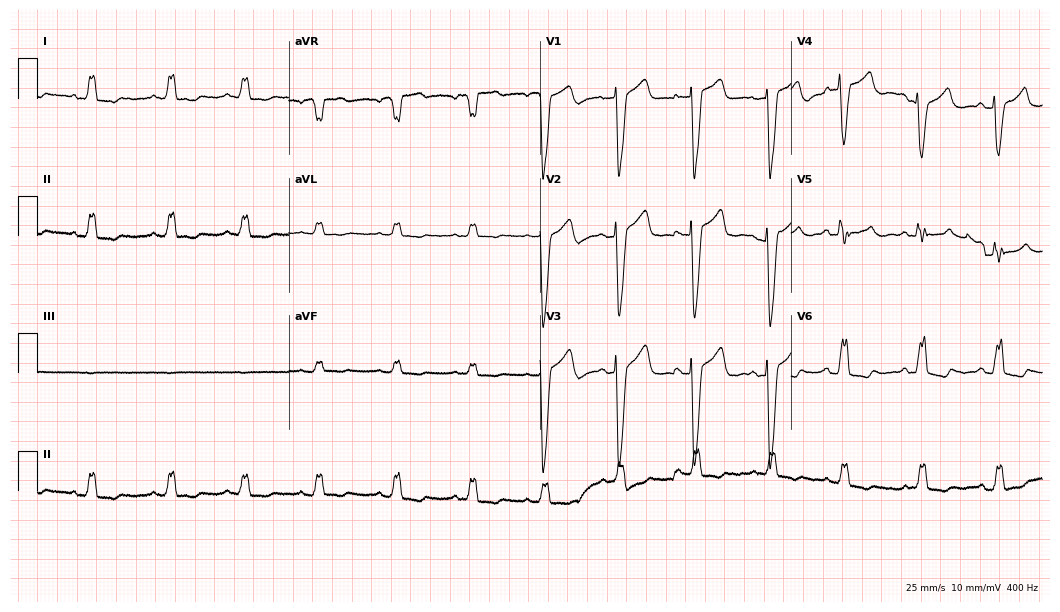
Electrocardiogram (10.2-second recording at 400 Hz), a woman, 72 years old. Interpretation includes left bundle branch block.